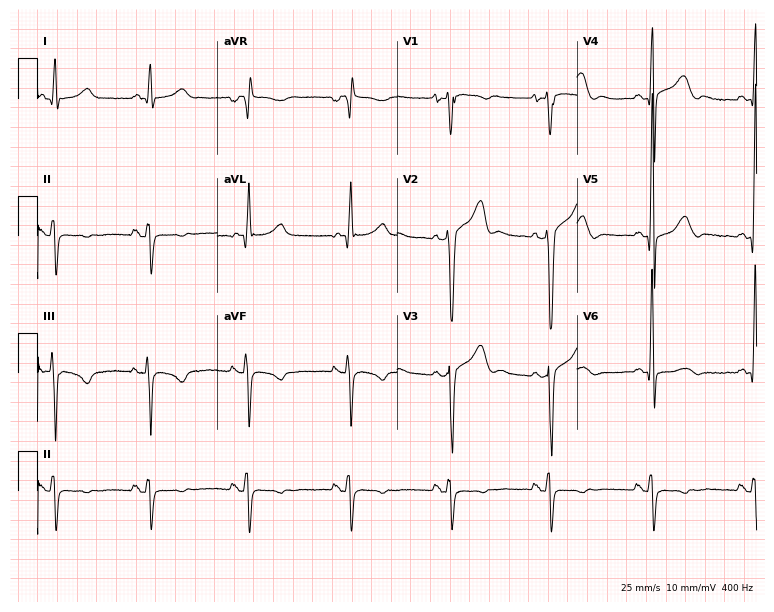
Resting 12-lead electrocardiogram. Patient: a man, 49 years old. None of these six findings is recorded: first-degree AV block, right bundle branch block, left bundle branch block, sinus bradycardia, atrial fibrillation, sinus tachycardia.